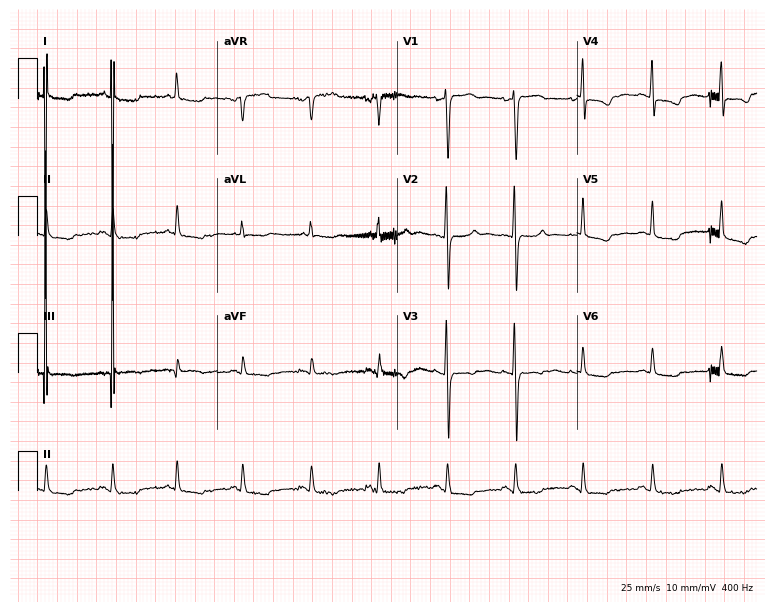
Electrocardiogram (7.3-second recording at 400 Hz), a woman, 85 years old. Of the six screened findings (first-degree AV block, right bundle branch block, left bundle branch block, sinus bradycardia, atrial fibrillation, sinus tachycardia), none is recorded. Other findings, if any, are not listed.